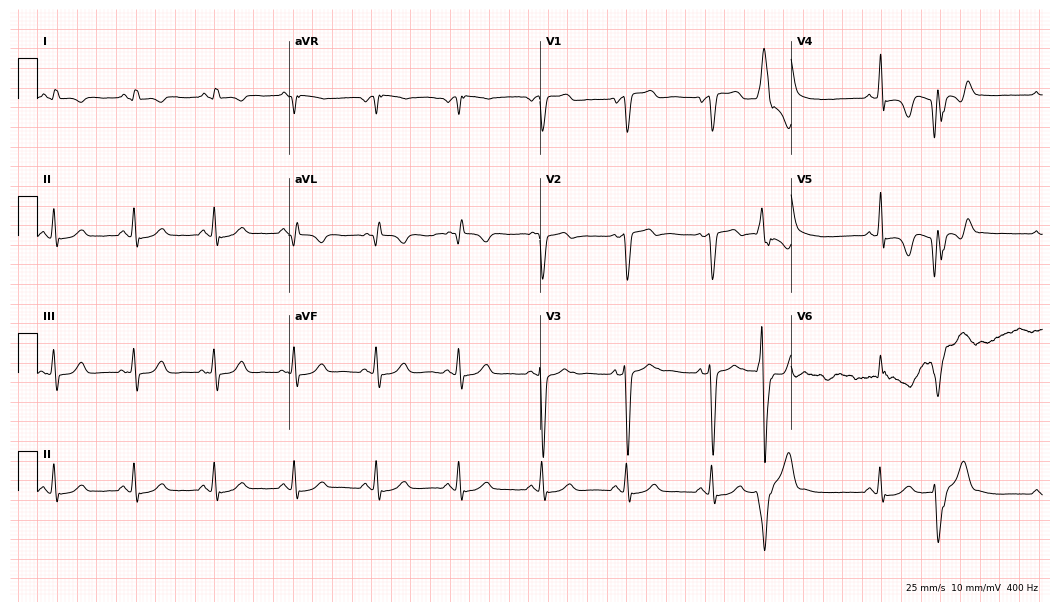
ECG (10.2-second recording at 400 Hz) — a 75-year-old man. Screened for six findings — first-degree AV block, right bundle branch block, left bundle branch block, sinus bradycardia, atrial fibrillation, sinus tachycardia — none is recorded.